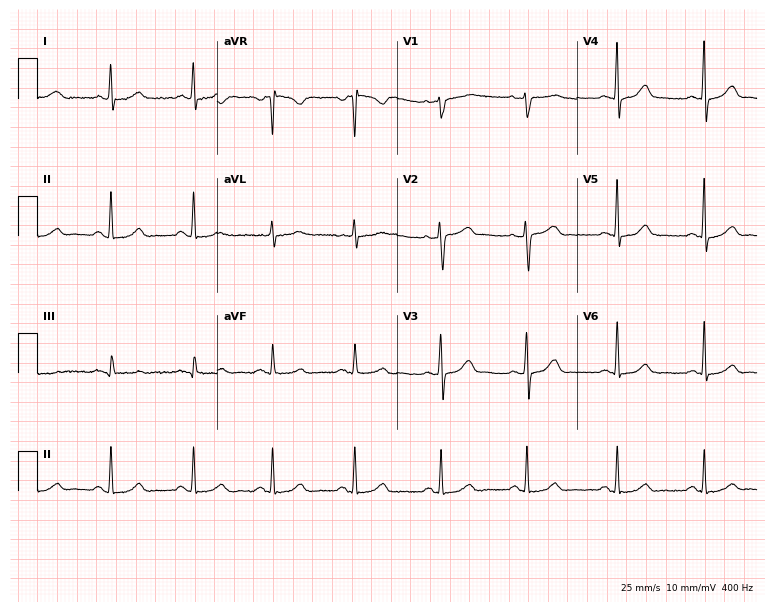
12-lead ECG from a female patient, 36 years old. No first-degree AV block, right bundle branch block, left bundle branch block, sinus bradycardia, atrial fibrillation or sinus tachycardia recorded for this tracing.